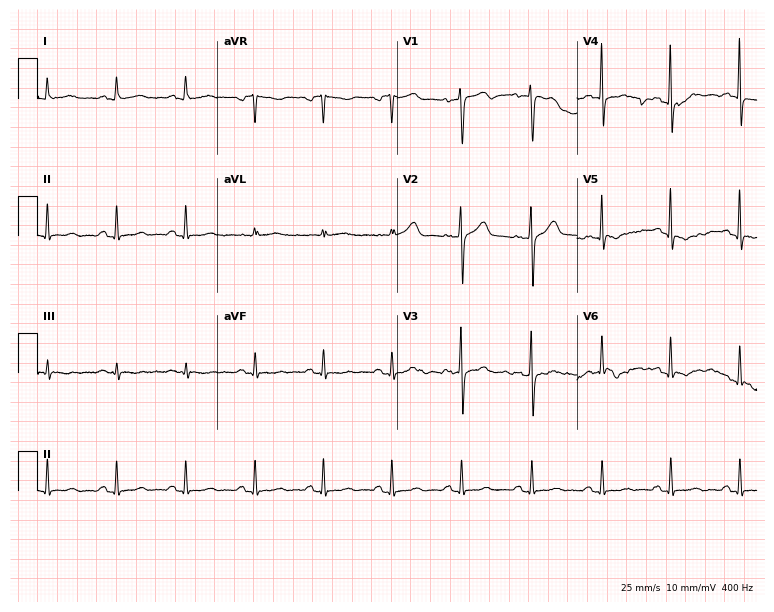
ECG — a woman, 47 years old. Screened for six findings — first-degree AV block, right bundle branch block, left bundle branch block, sinus bradycardia, atrial fibrillation, sinus tachycardia — none is recorded. Findings outside these six are not listed.